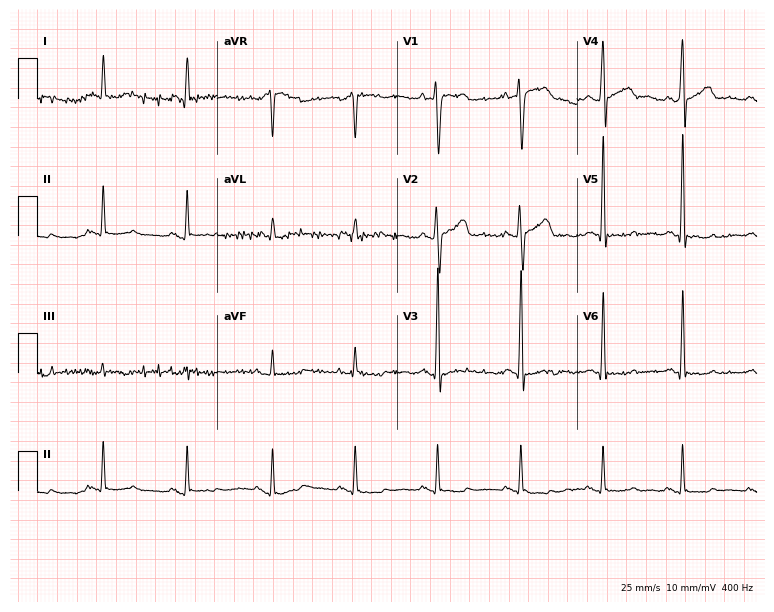
Standard 12-lead ECG recorded from a 54-year-old male patient. None of these six findings is recorded: first-degree AV block, right bundle branch block, left bundle branch block, sinus bradycardia, atrial fibrillation, sinus tachycardia. Findings outside these six are not listed.